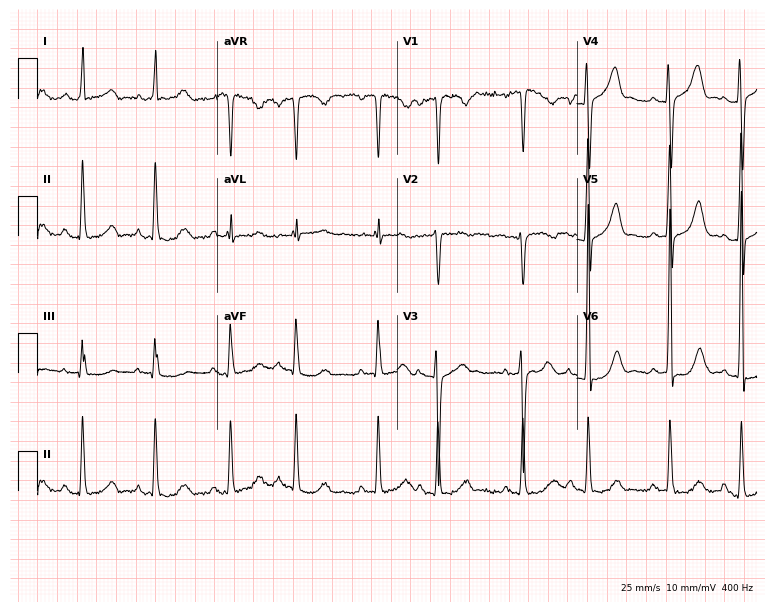
12-lead ECG (7.3-second recording at 400 Hz) from a woman, 61 years old. Screened for six findings — first-degree AV block, right bundle branch block, left bundle branch block, sinus bradycardia, atrial fibrillation, sinus tachycardia — none is recorded.